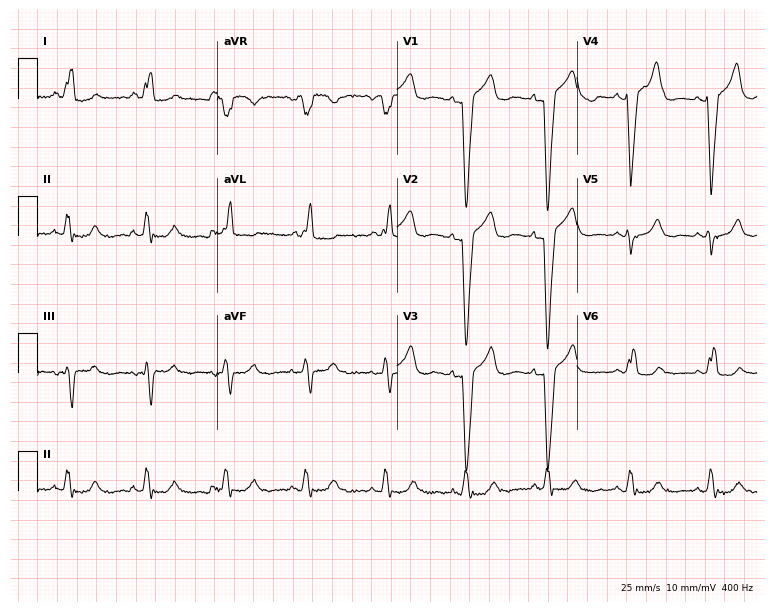
12-lead ECG (7.3-second recording at 400 Hz) from a 56-year-old female. Findings include left bundle branch block (LBBB).